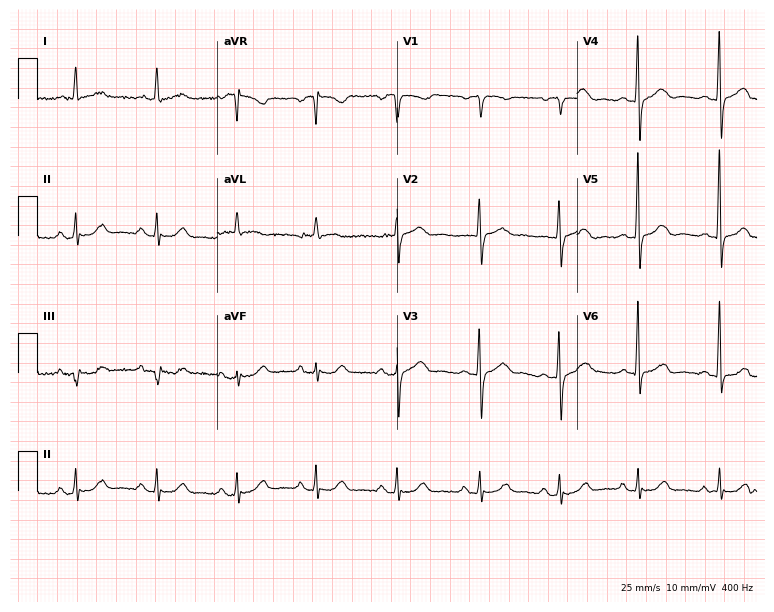
Standard 12-lead ECG recorded from a woman, 73 years old. Read as a normal ECG.